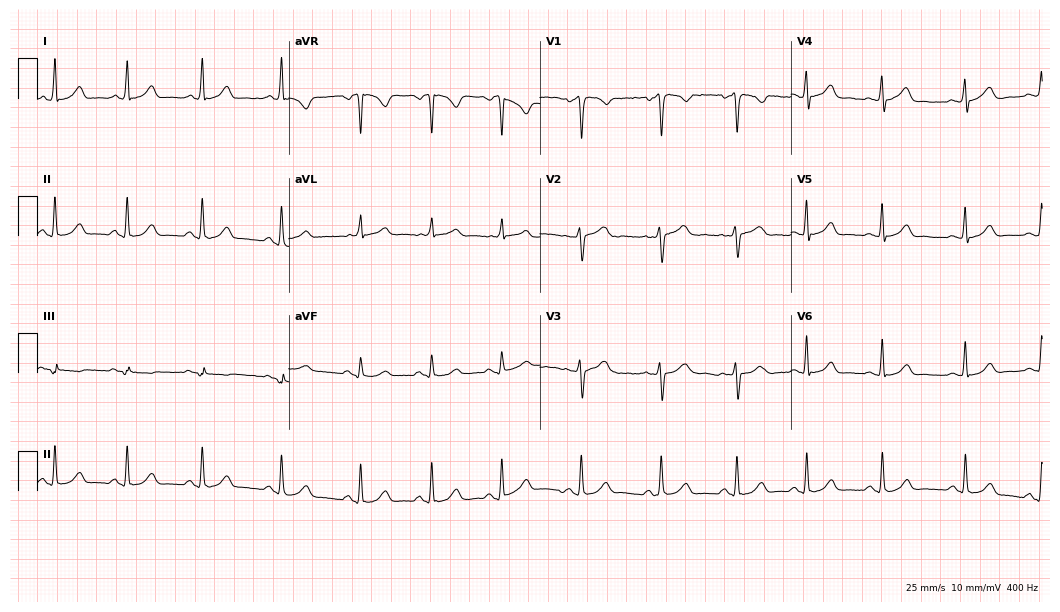
Resting 12-lead electrocardiogram. Patient: a female, 20 years old. Read as a normal ECG.